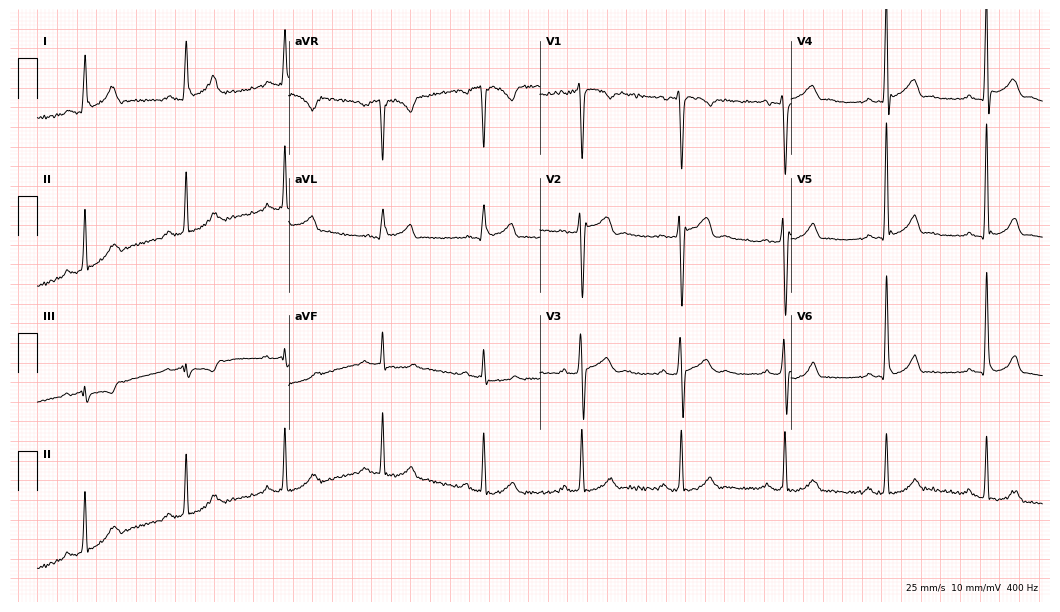
Standard 12-lead ECG recorded from a 35-year-old male patient (10.2-second recording at 400 Hz). None of these six findings is recorded: first-degree AV block, right bundle branch block, left bundle branch block, sinus bradycardia, atrial fibrillation, sinus tachycardia.